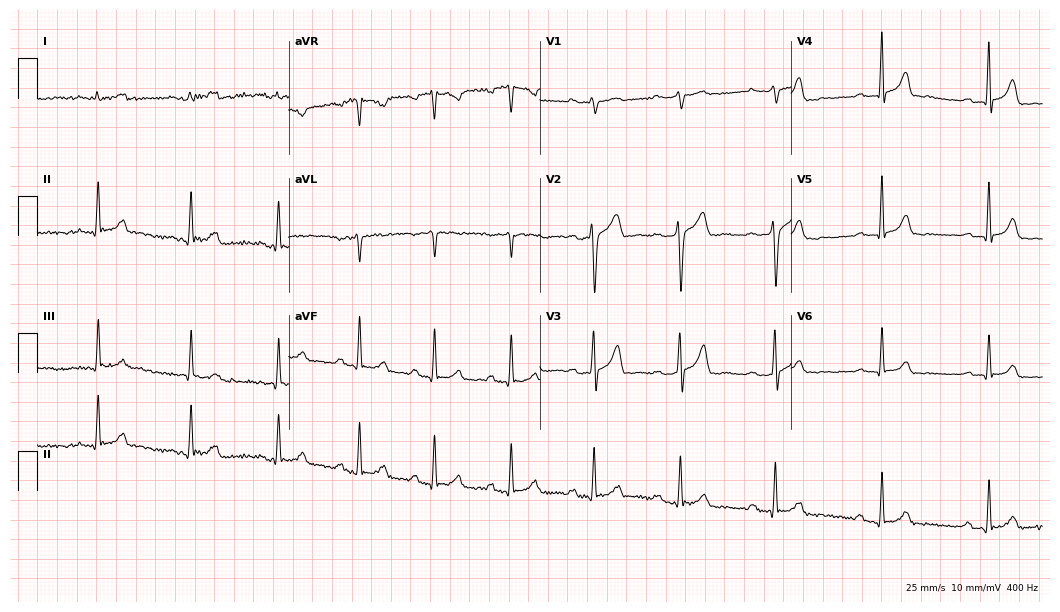
ECG — a 30-year-old male patient. Screened for six findings — first-degree AV block, right bundle branch block (RBBB), left bundle branch block (LBBB), sinus bradycardia, atrial fibrillation (AF), sinus tachycardia — none is recorded.